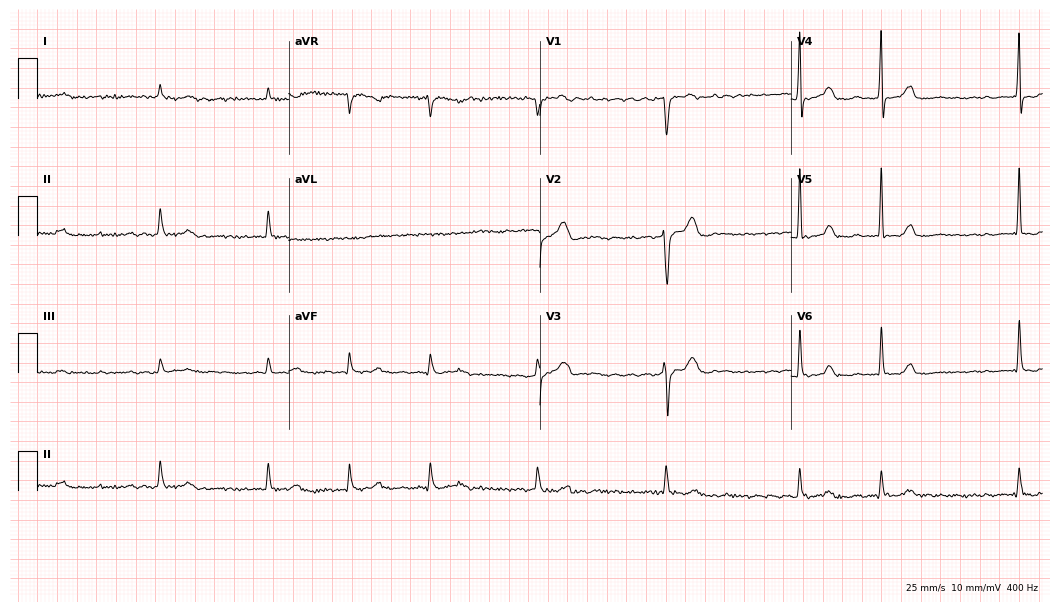
Electrocardiogram (10.2-second recording at 400 Hz), a male patient, 71 years old. Interpretation includes atrial fibrillation.